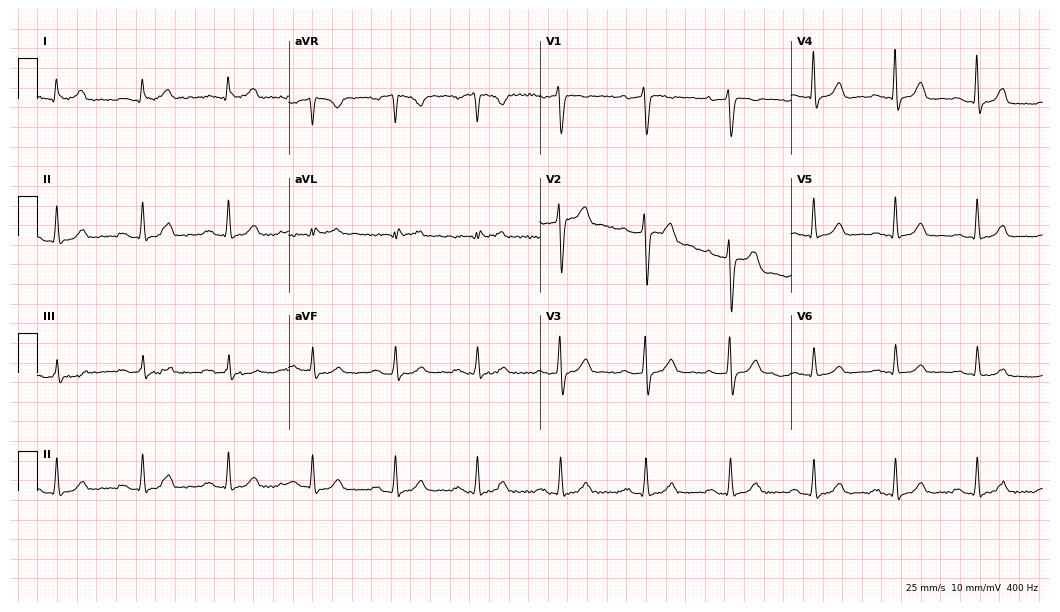
Standard 12-lead ECG recorded from a female, 48 years old (10.2-second recording at 400 Hz). None of these six findings is recorded: first-degree AV block, right bundle branch block, left bundle branch block, sinus bradycardia, atrial fibrillation, sinus tachycardia.